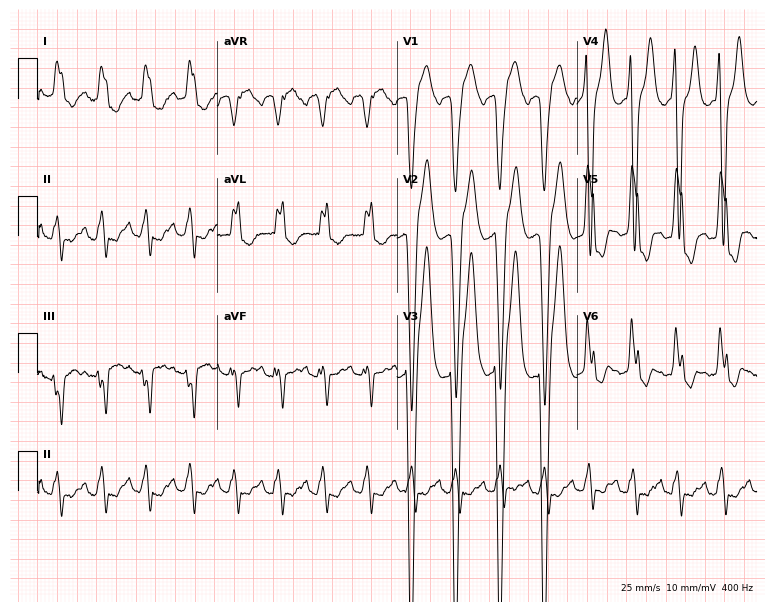
12-lead ECG (7.3-second recording at 400 Hz) from a woman, 69 years old. Findings include left bundle branch block, sinus tachycardia (a sinus rate of 100 beats per minute or more).